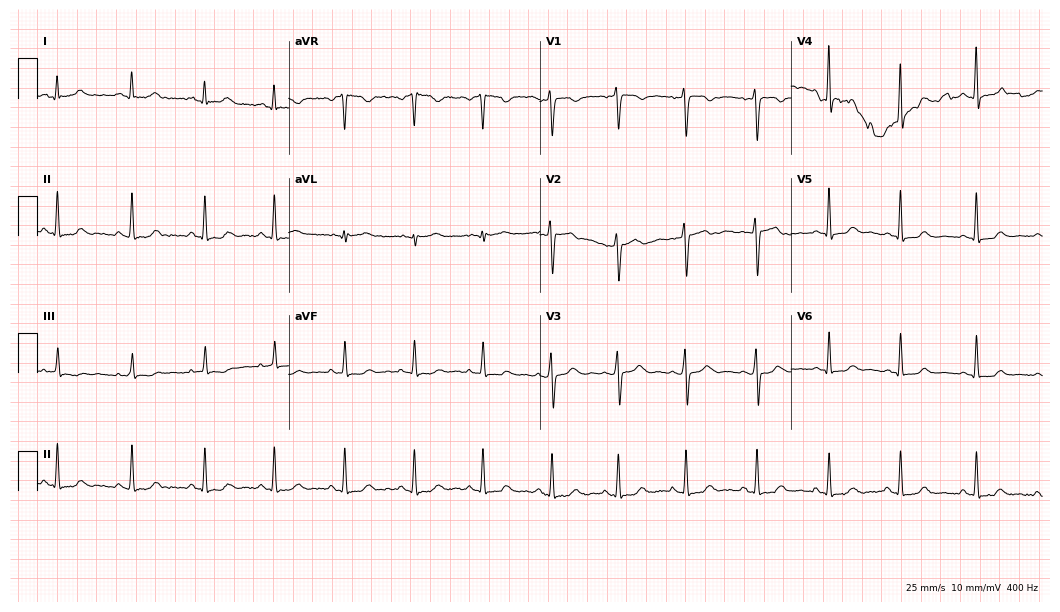
Electrocardiogram, a woman, 38 years old. Overall reading on record: normal ECG.